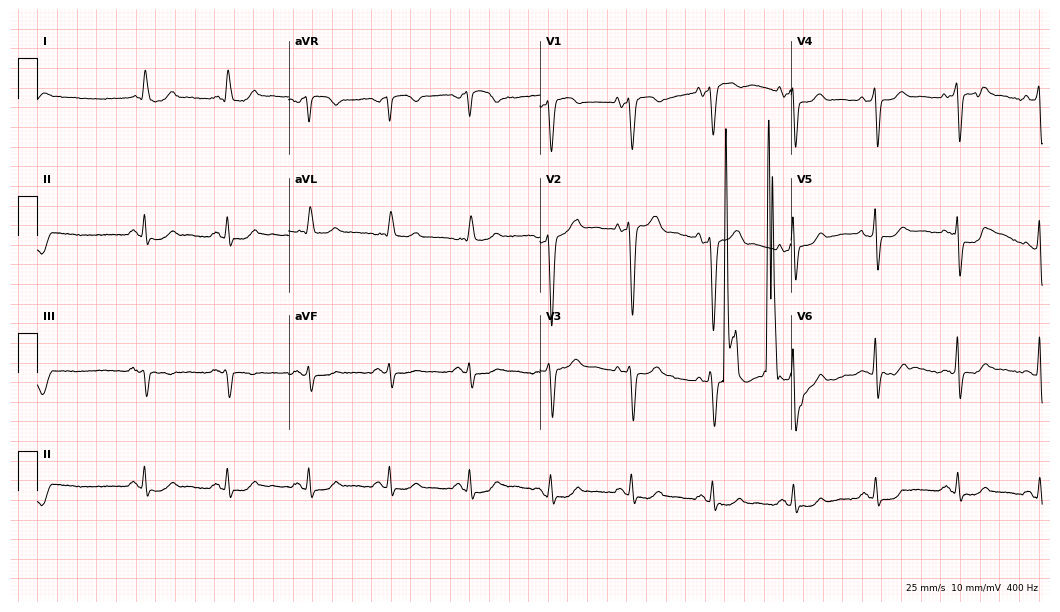
12-lead ECG from a male patient, 65 years old. Screened for six findings — first-degree AV block, right bundle branch block (RBBB), left bundle branch block (LBBB), sinus bradycardia, atrial fibrillation (AF), sinus tachycardia — none is recorded.